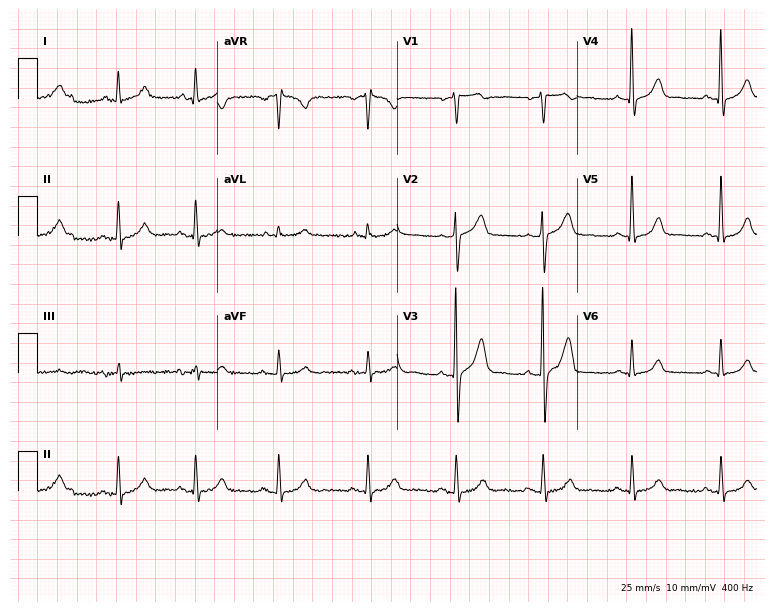
ECG (7.3-second recording at 400 Hz) — a man, 64 years old. Screened for six findings — first-degree AV block, right bundle branch block, left bundle branch block, sinus bradycardia, atrial fibrillation, sinus tachycardia — none is recorded.